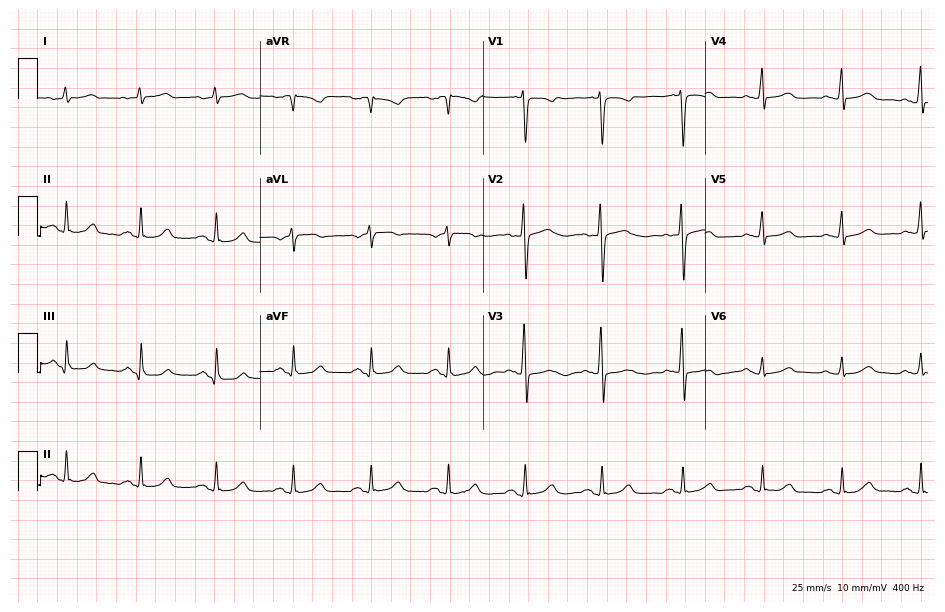
Electrocardiogram (9.1-second recording at 400 Hz), a 69-year-old female patient. Overall reading on record: normal ECG.